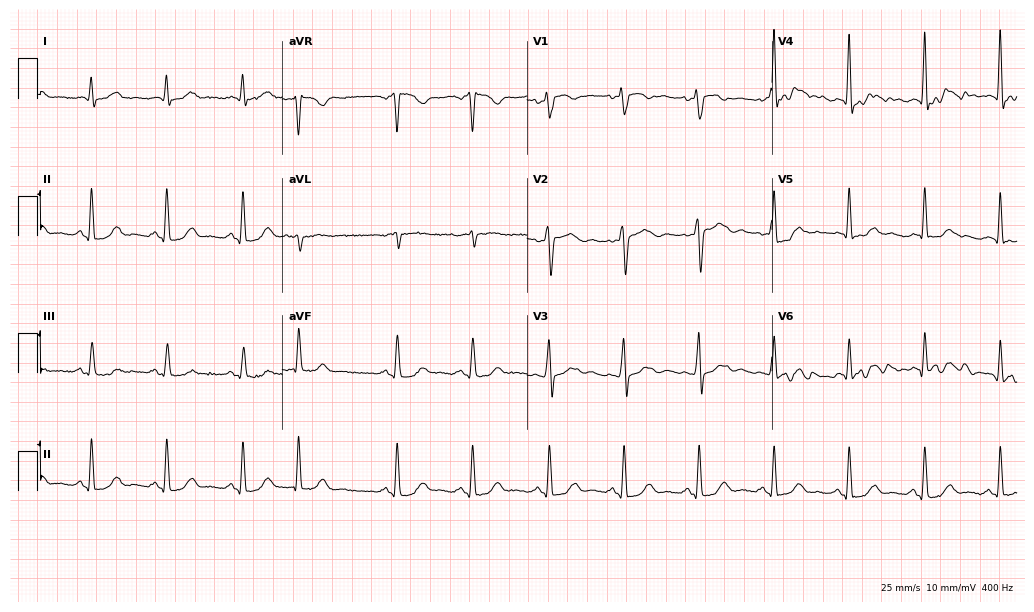
12-lead ECG (10-second recording at 400 Hz) from a 66-year-old female. Labelled as a normal ECG.